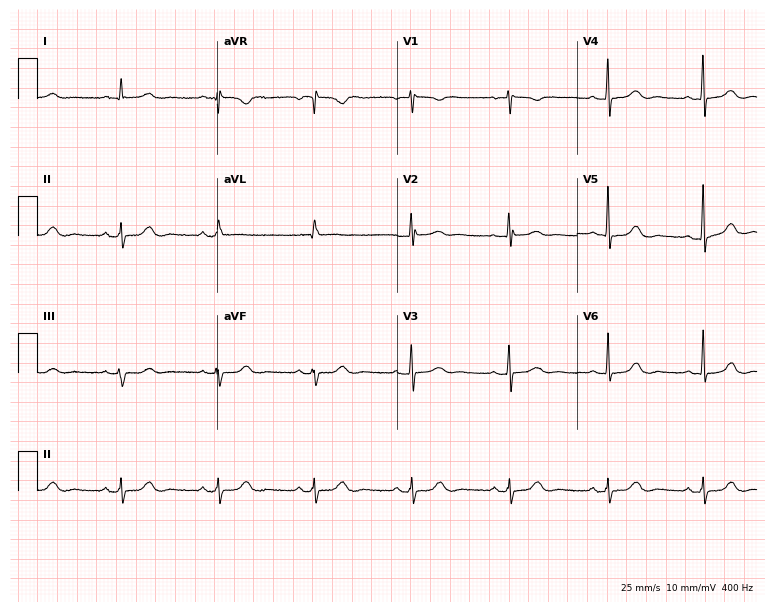
12-lead ECG (7.3-second recording at 400 Hz) from a 56-year-old female patient. Screened for six findings — first-degree AV block, right bundle branch block, left bundle branch block, sinus bradycardia, atrial fibrillation, sinus tachycardia — none is recorded.